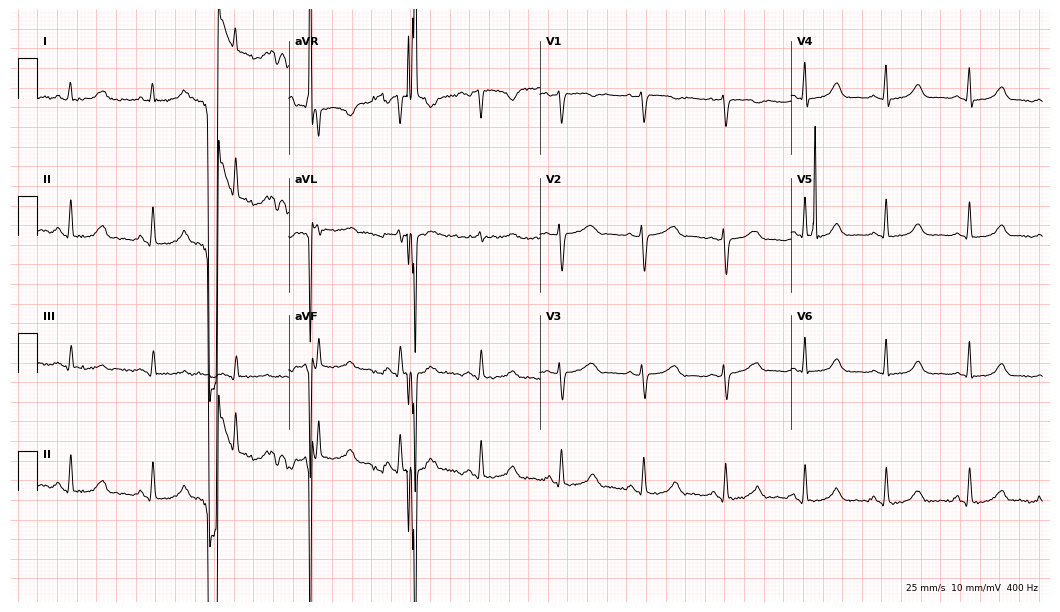
Resting 12-lead electrocardiogram (10.2-second recording at 400 Hz). Patient: a female, 38 years old. None of these six findings is recorded: first-degree AV block, right bundle branch block, left bundle branch block, sinus bradycardia, atrial fibrillation, sinus tachycardia.